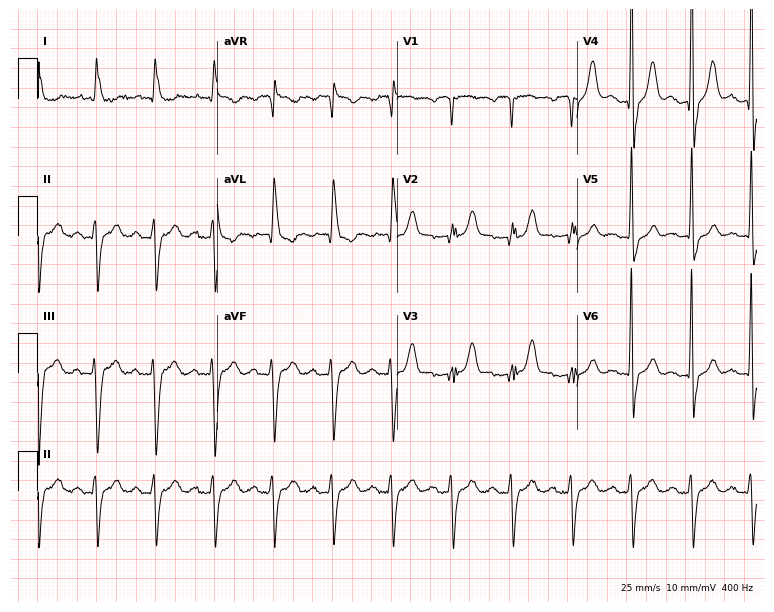
Resting 12-lead electrocardiogram (7.3-second recording at 400 Hz). Patient: a 79-year-old male. The tracing shows first-degree AV block, right bundle branch block.